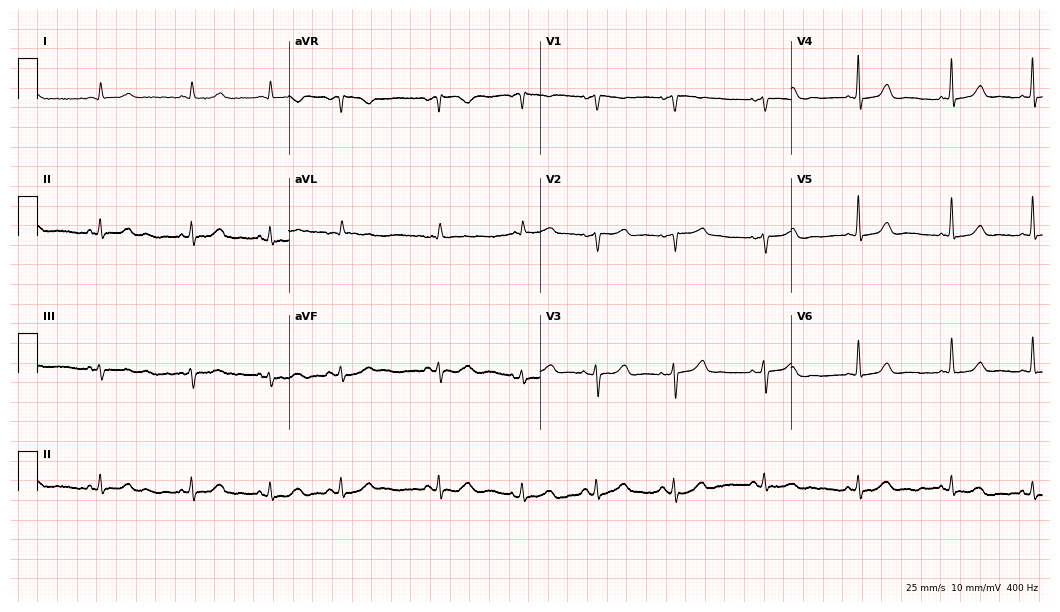
12-lead ECG from an 83-year-old woman (10.2-second recording at 400 Hz). Recorded interpretation: within normal limits.